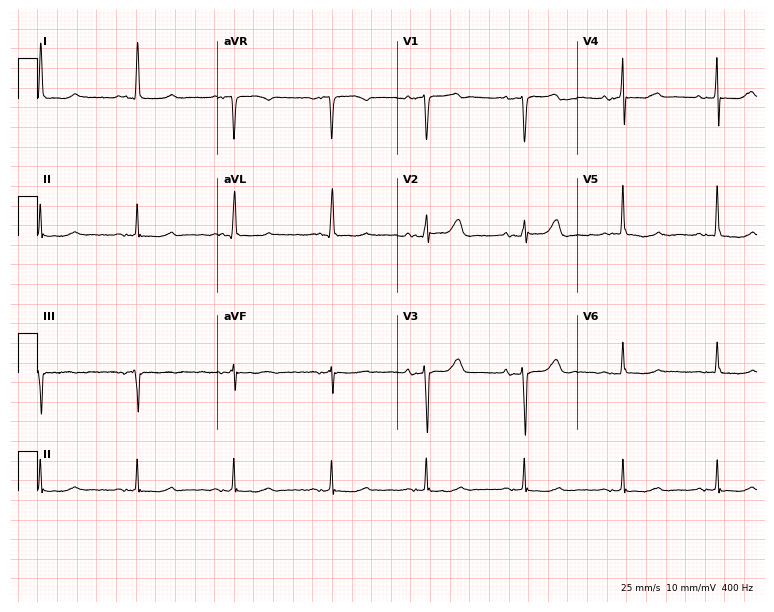
12-lead ECG from a female patient, 85 years old. Screened for six findings — first-degree AV block, right bundle branch block (RBBB), left bundle branch block (LBBB), sinus bradycardia, atrial fibrillation (AF), sinus tachycardia — none is recorded. Other findings, if any, are not listed.